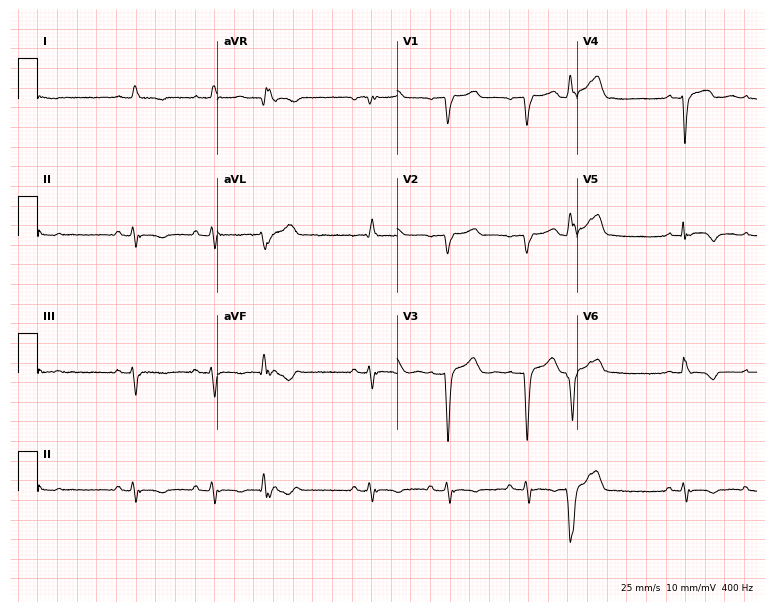
ECG (7.3-second recording at 400 Hz) — a 68-year-old male. Screened for six findings — first-degree AV block, right bundle branch block, left bundle branch block, sinus bradycardia, atrial fibrillation, sinus tachycardia — none is recorded.